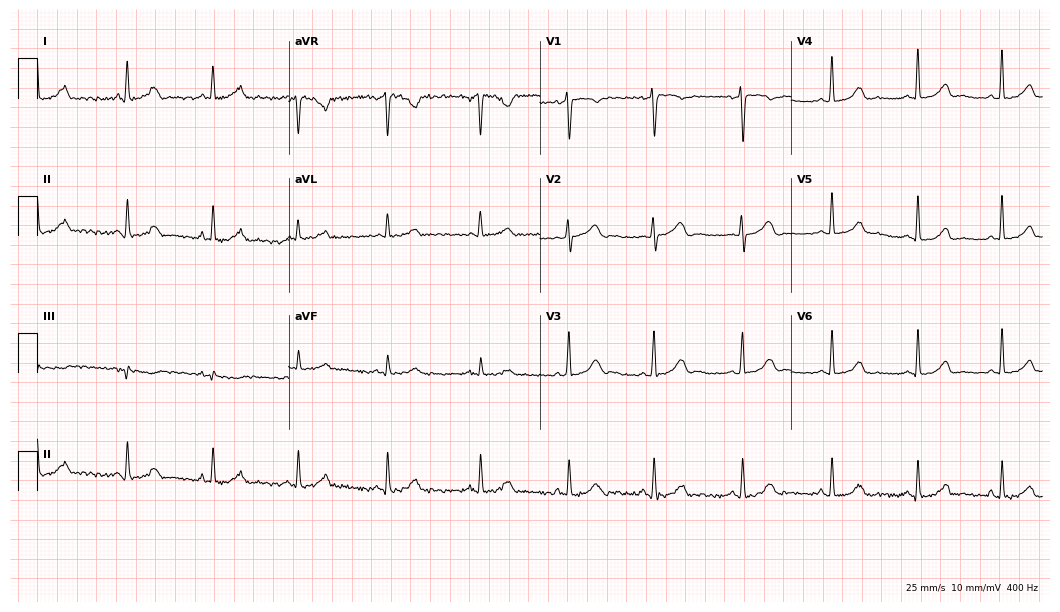
Standard 12-lead ECG recorded from a 48-year-old female (10.2-second recording at 400 Hz). Read as a normal ECG.